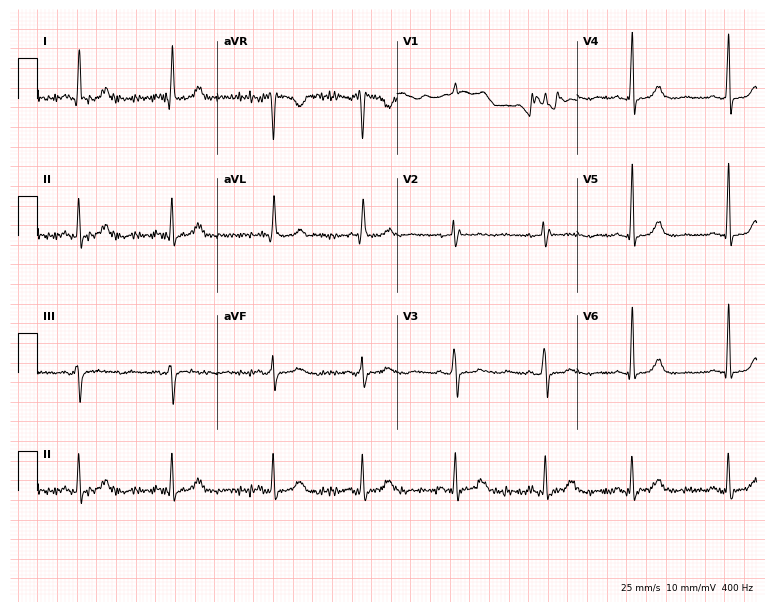
Resting 12-lead electrocardiogram (7.3-second recording at 400 Hz). Patient: a 53-year-old female. None of these six findings is recorded: first-degree AV block, right bundle branch block, left bundle branch block, sinus bradycardia, atrial fibrillation, sinus tachycardia.